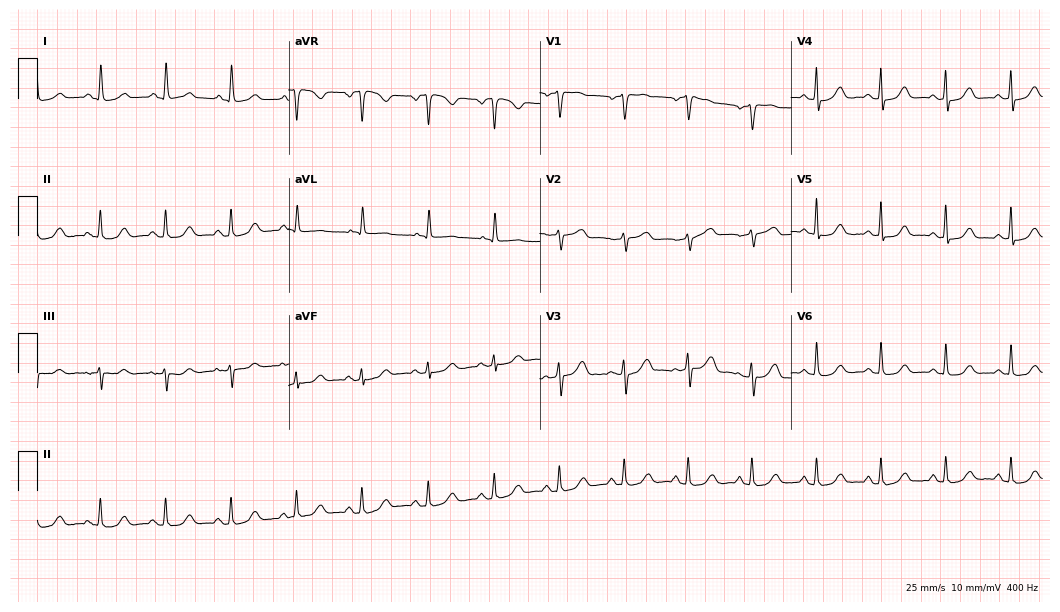
ECG — a 71-year-old woman. Labelled as a normal ECG.